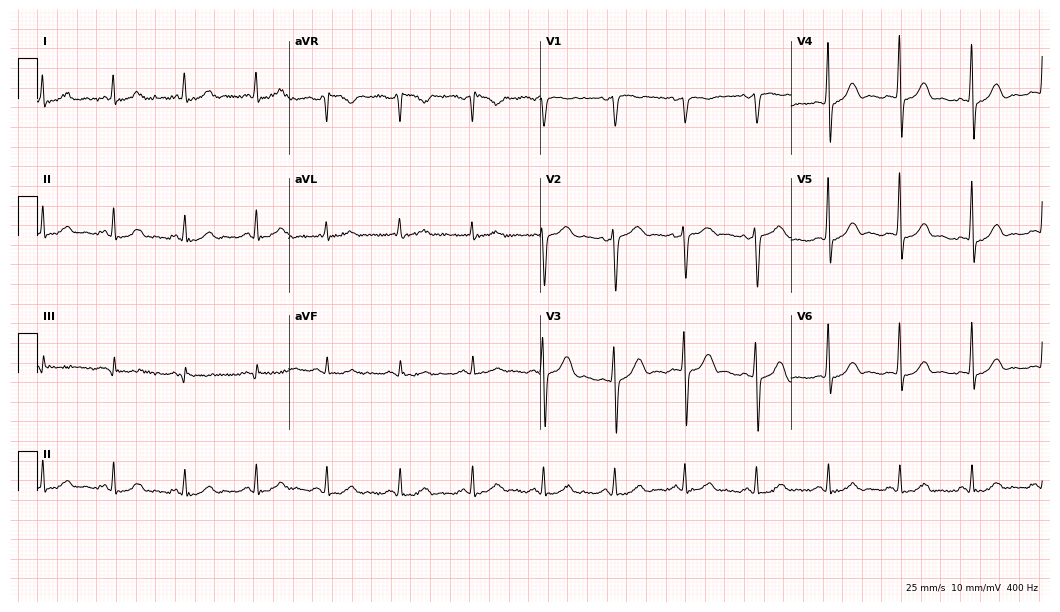
12-lead ECG from a 34-year-old female patient. Recorded interpretation: within normal limits.